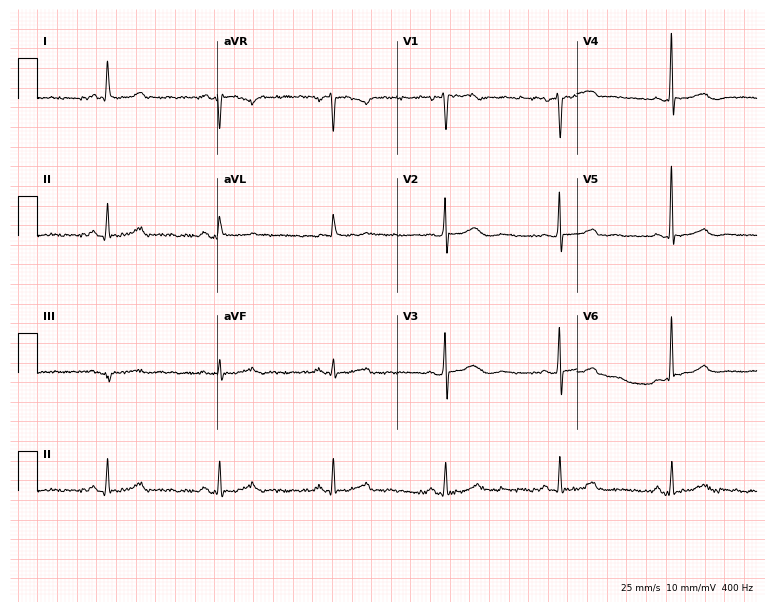
ECG — a female patient, 71 years old. Labelled as a normal ECG.